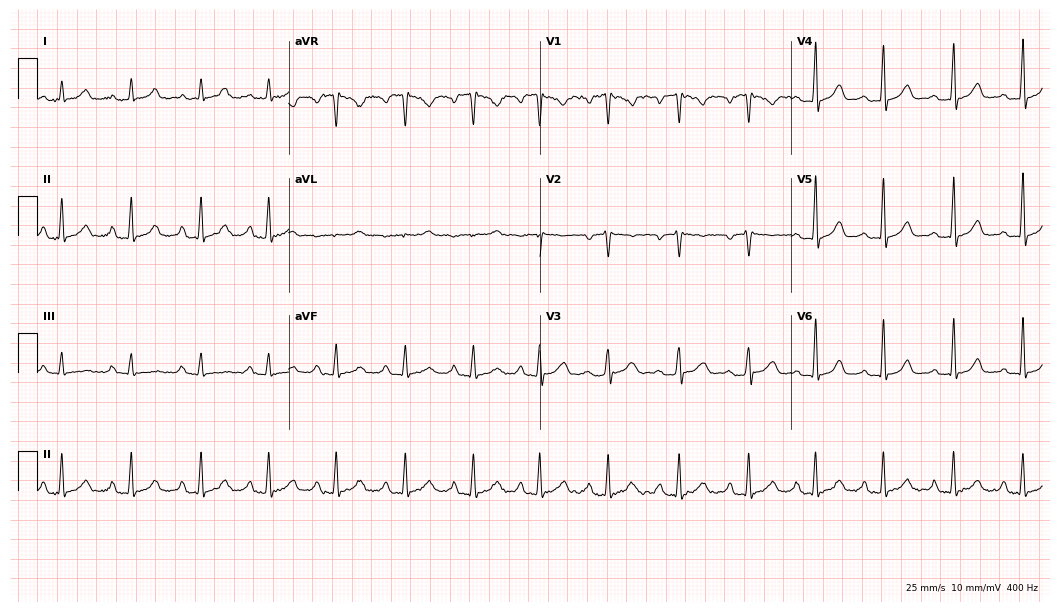
Standard 12-lead ECG recorded from a 35-year-old woman. Read as a normal ECG.